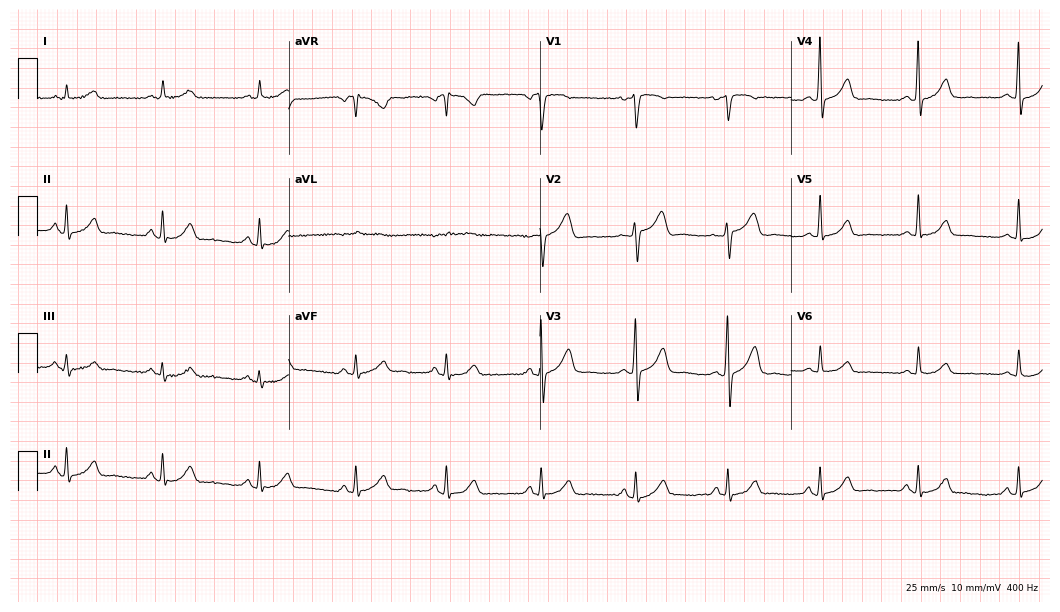
Standard 12-lead ECG recorded from a 47-year-old female. Read as a normal ECG.